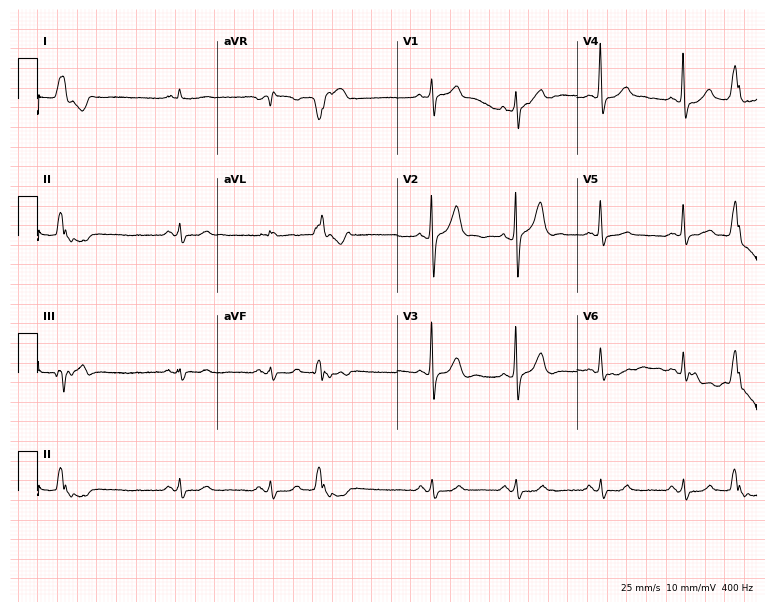
ECG — a 77-year-old man. Screened for six findings — first-degree AV block, right bundle branch block, left bundle branch block, sinus bradycardia, atrial fibrillation, sinus tachycardia — none is recorded.